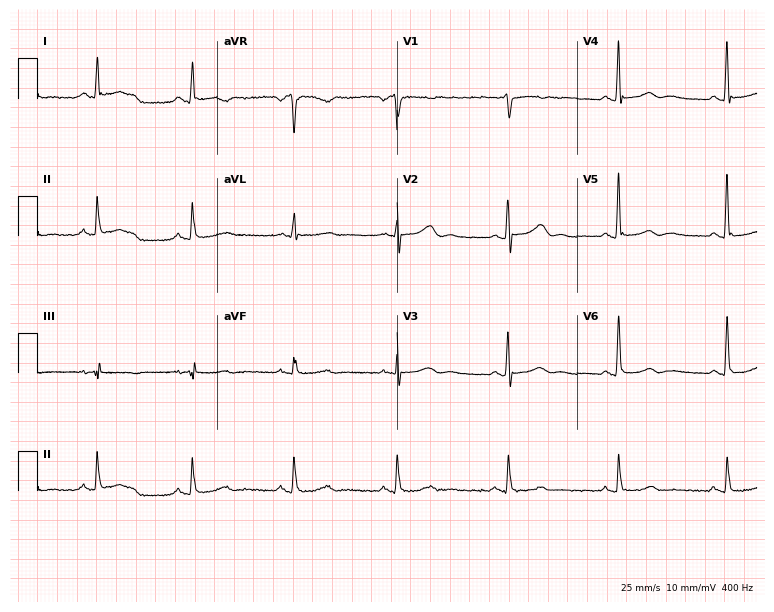
12-lead ECG from a 51-year-old female (7.3-second recording at 400 Hz). No first-degree AV block, right bundle branch block, left bundle branch block, sinus bradycardia, atrial fibrillation or sinus tachycardia recorded for this tracing.